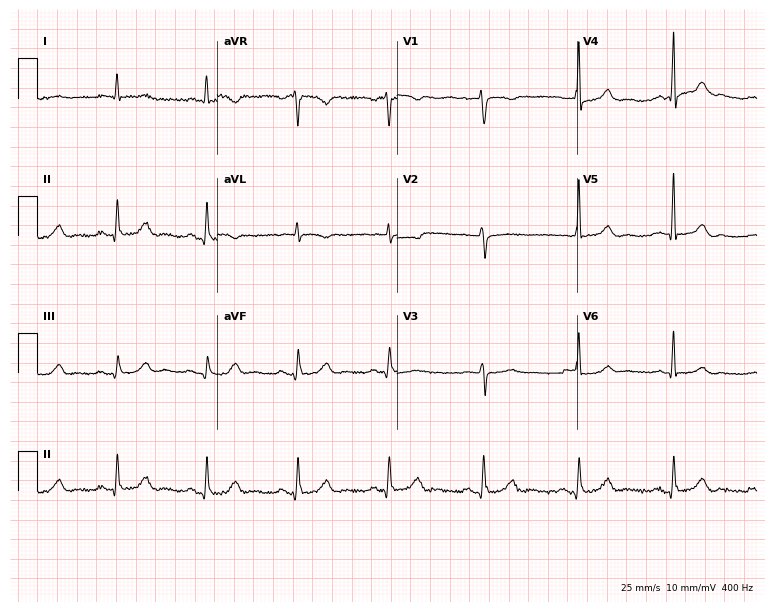
Electrocardiogram, a female patient, 83 years old. Overall reading on record: normal ECG.